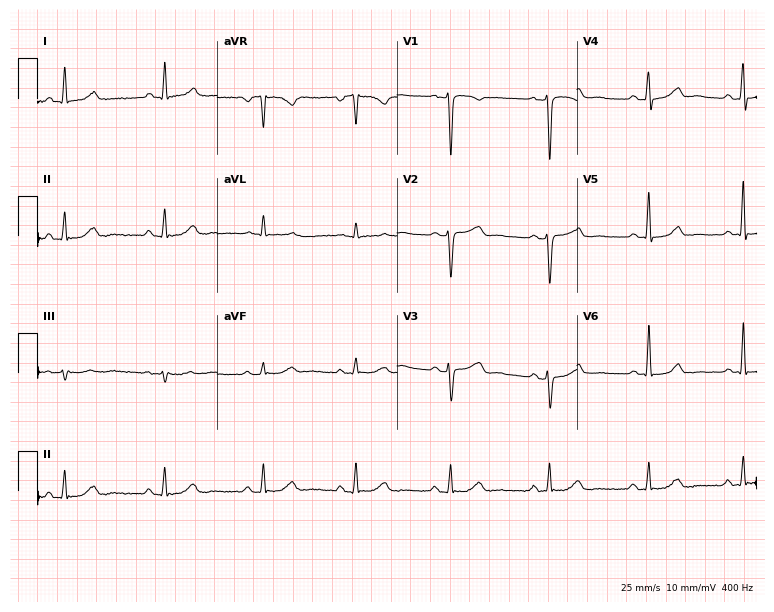
Resting 12-lead electrocardiogram. Patient: a woman, 46 years old. None of these six findings is recorded: first-degree AV block, right bundle branch block, left bundle branch block, sinus bradycardia, atrial fibrillation, sinus tachycardia. Other findings, if any, are not listed.